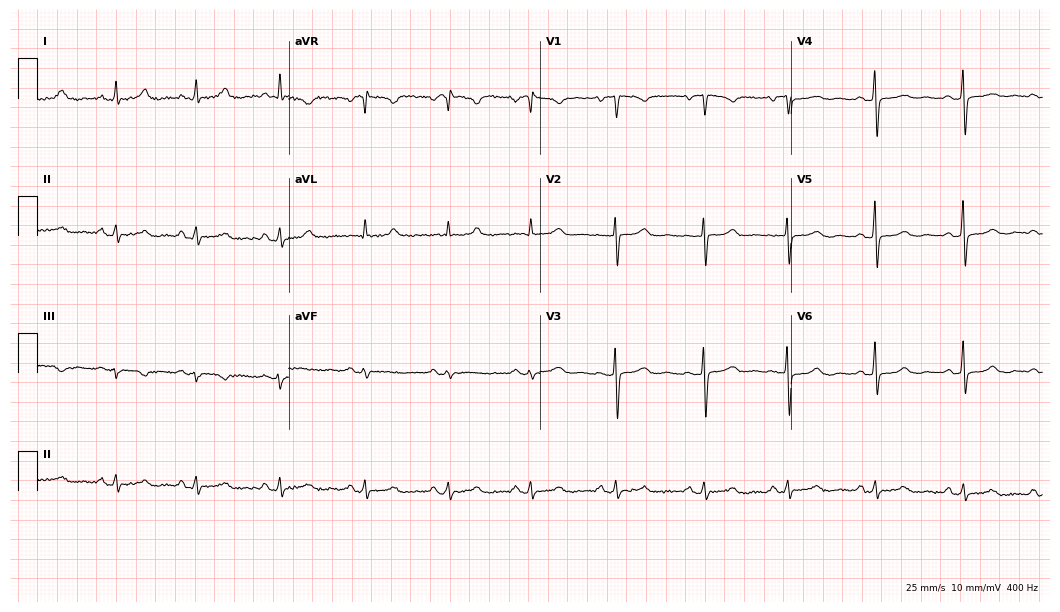
Resting 12-lead electrocardiogram (10.2-second recording at 400 Hz). Patient: a 56-year-old female. None of these six findings is recorded: first-degree AV block, right bundle branch block (RBBB), left bundle branch block (LBBB), sinus bradycardia, atrial fibrillation (AF), sinus tachycardia.